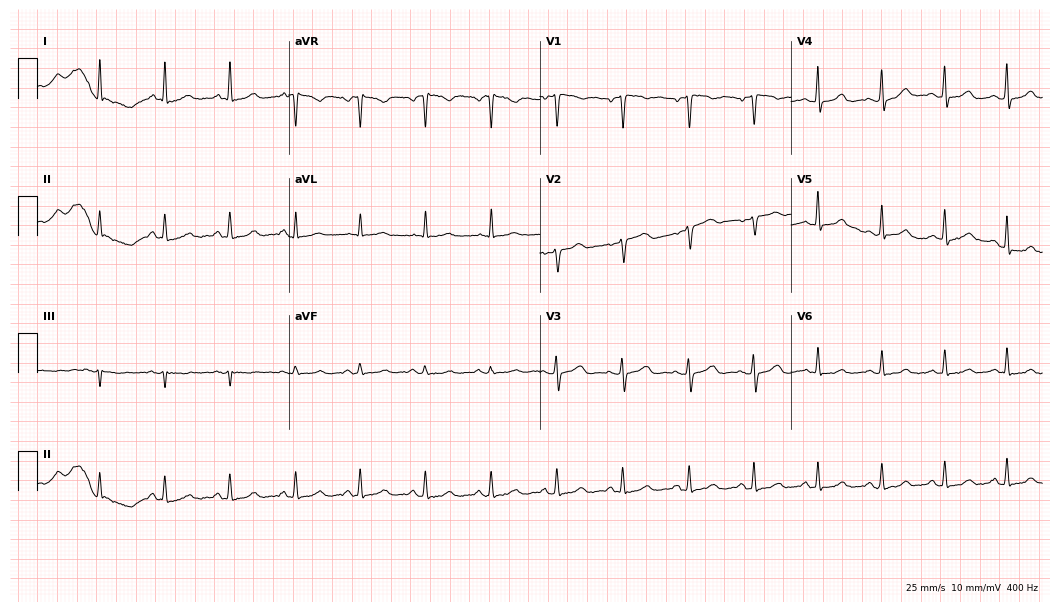
ECG (10.2-second recording at 400 Hz) — a female, 50 years old. Labelled as a normal ECG.